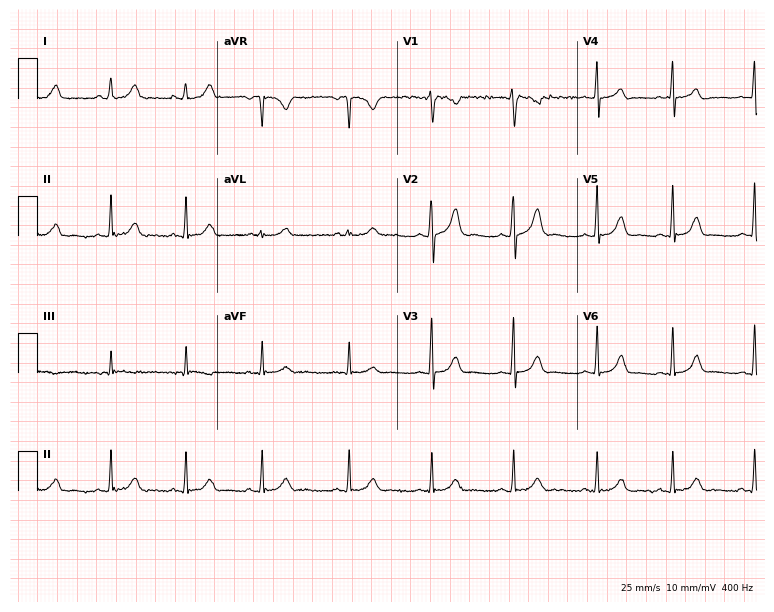
ECG (7.3-second recording at 400 Hz) — a female, 23 years old. Labelled as a normal ECG.